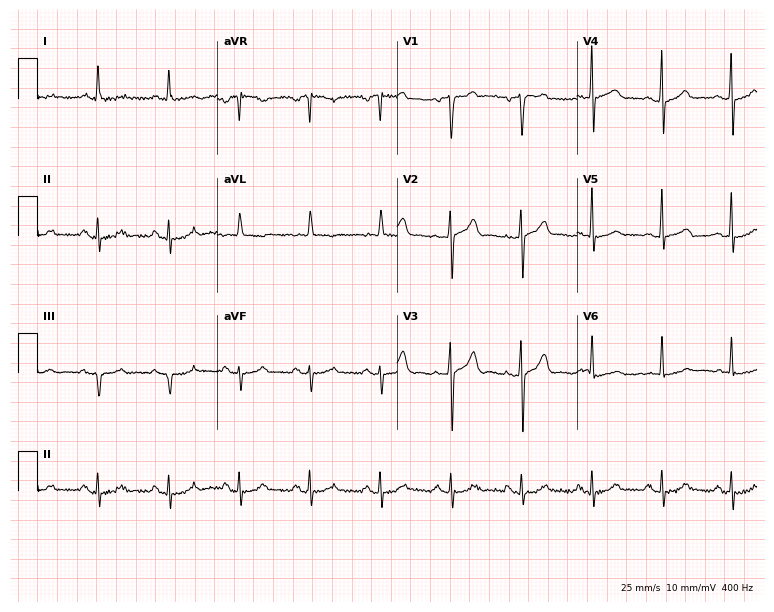
12-lead ECG from a male, 64 years old (7.3-second recording at 400 Hz). No first-degree AV block, right bundle branch block, left bundle branch block, sinus bradycardia, atrial fibrillation or sinus tachycardia recorded for this tracing. Other findings, if any, are not listed.